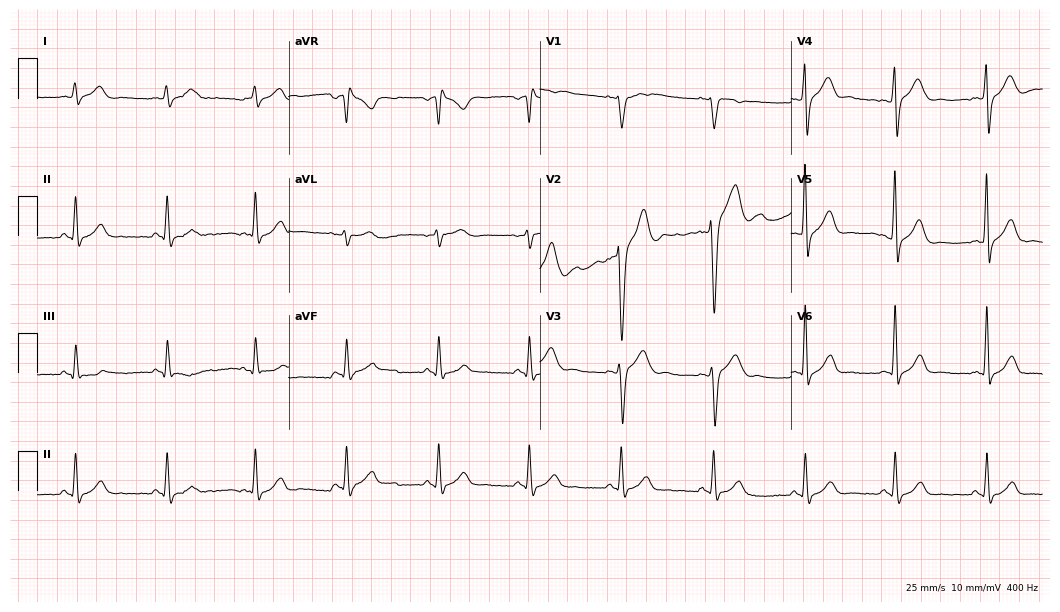
ECG — a male, 33 years old. Screened for six findings — first-degree AV block, right bundle branch block (RBBB), left bundle branch block (LBBB), sinus bradycardia, atrial fibrillation (AF), sinus tachycardia — none is recorded. Other findings, if any, are not listed.